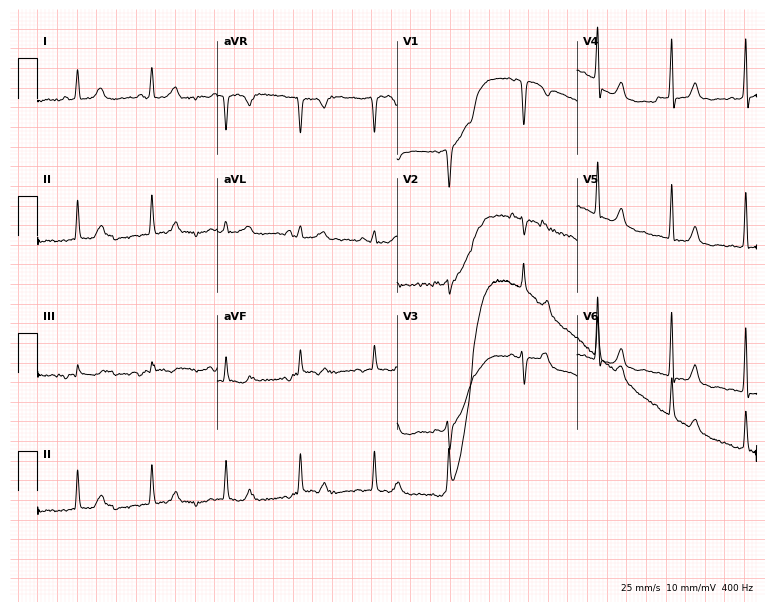
12-lead ECG from a 43-year-old female patient. Screened for six findings — first-degree AV block, right bundle branch block, left bundle branch block, sinus bradycardia, atrial fibrillation, sinus tachycardia — none is recorded.